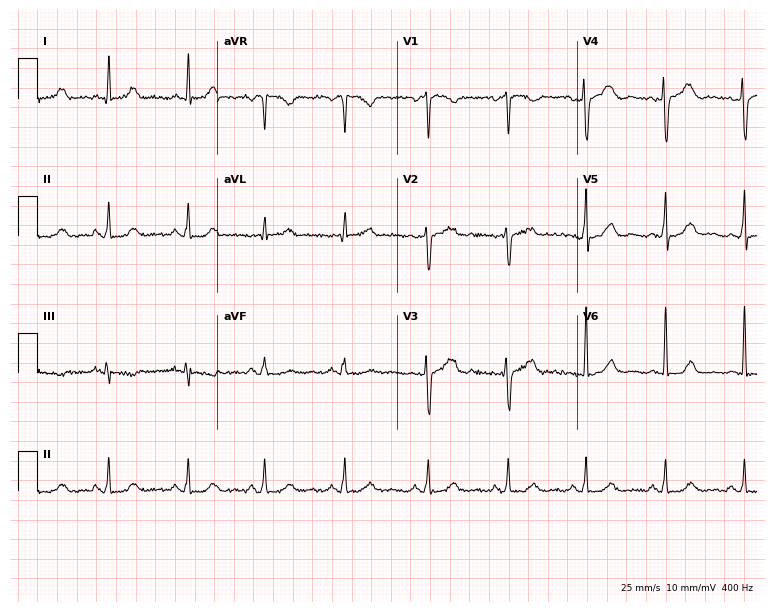
Resting 12-lead electrocardiogram. Patient: a woman, 60 years old. Read as a normal ECG.